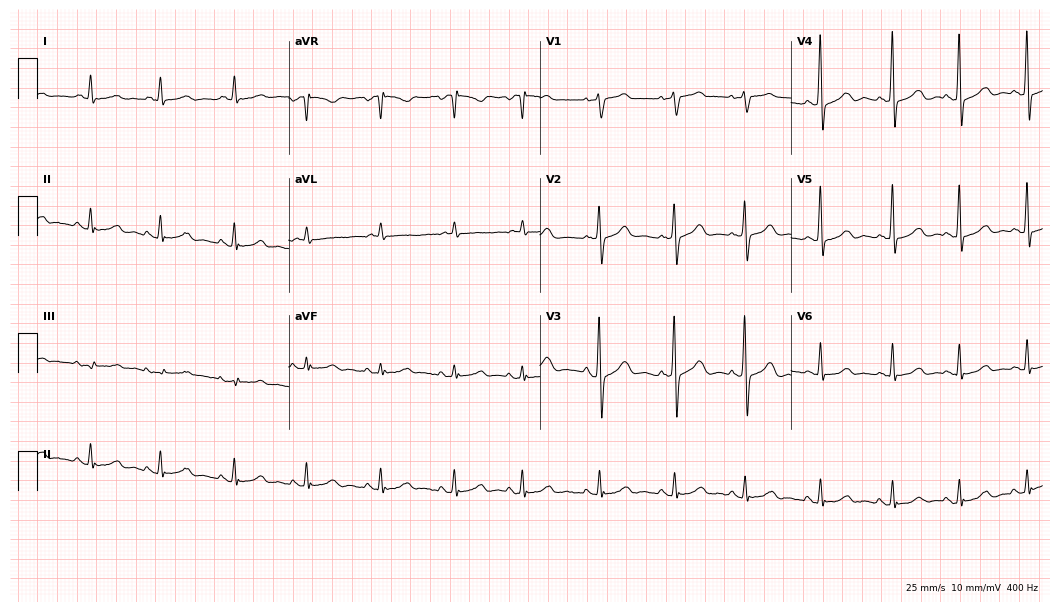
Electrocardiogram (10.2-second recording at 400 Hz), a 76-year-old male patient. Of the six screened findings (first-degree AV block, right bundle branch block, left bundle branch block, sinus bradycardia, atrial fibrillation, sinus tachycardia), none is recorded. Other findings, if any, are not listed.